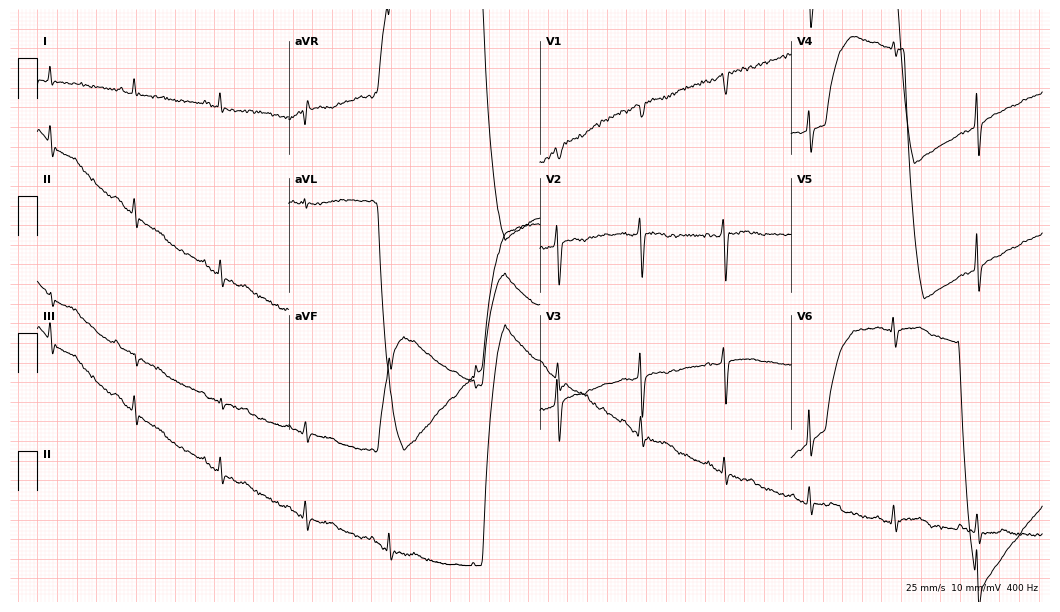
12-lead ECG (10.2-second recording at 400 Hz) from an 80-year-old male patient. Screened for six findings — first-degree AV block, right bundle branch block, left bundle branch block, sinus bradycardia, atrial fibrillation, sinus tachycardia — none is recorded. Findings outside these six are not listed.